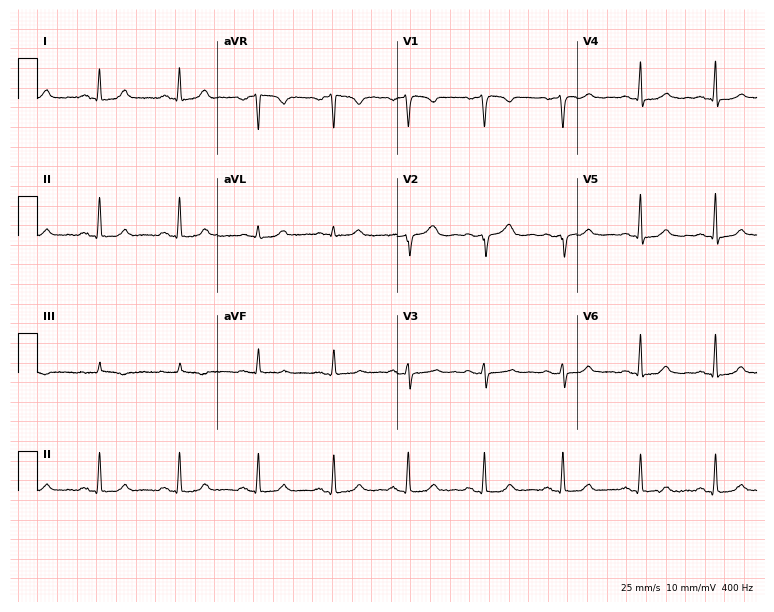
ECG (7.3-second recording at 400 Hz) — a woman, 39 years old. Screened for six findings — first-degree AV block, right bundle branch block, left bundle branch block, sinus bradycardia, atrial fibrillation, sinus tachycardia — none is recorded.